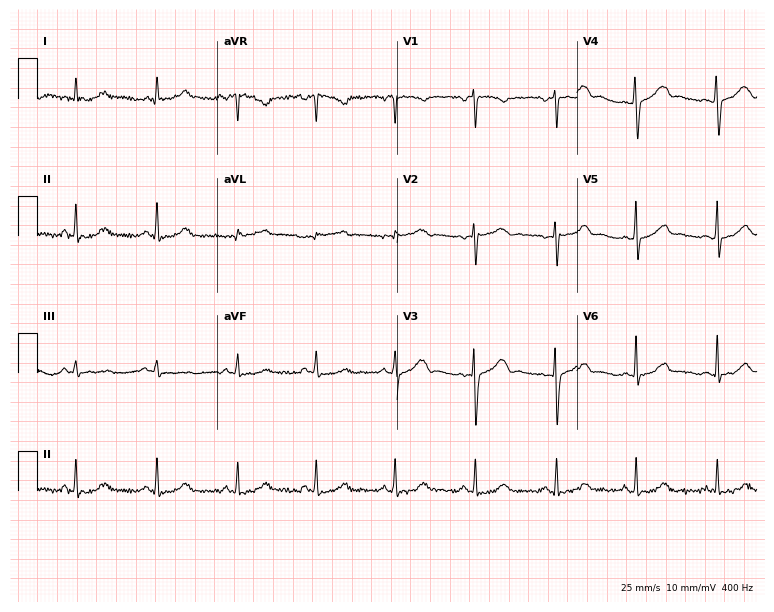
ECG (7.3-second recording at 400 Hz) — a female, 34 years old. Labelled as a normal ECG.